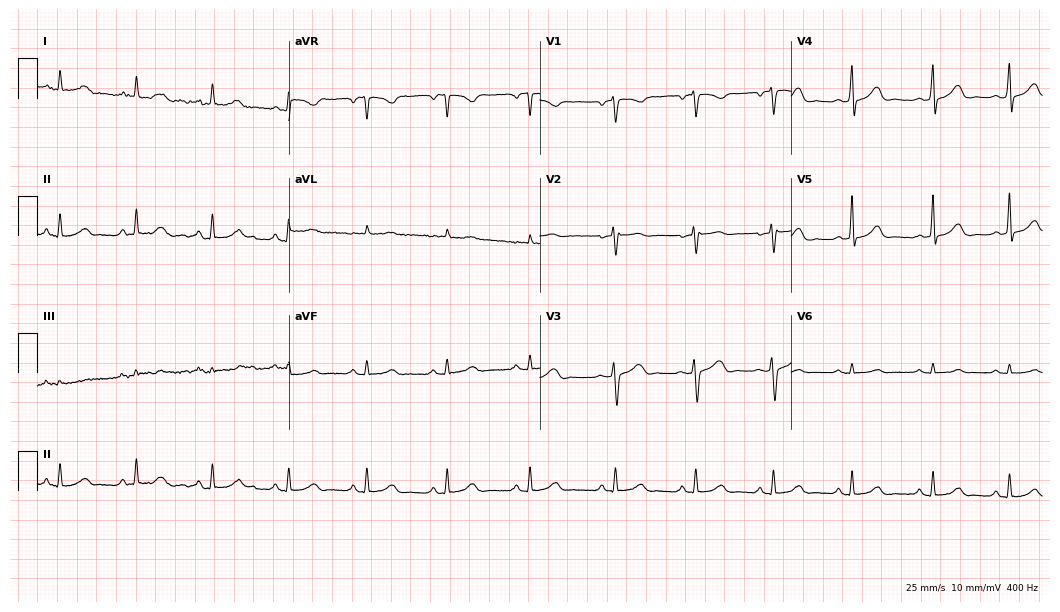
12-lead ECG from a female, 49 years old. No first-degree AV block, right bundle branch block (RBBB), left bundle branch block (LBBB), sinus bradycardia, atrial fibrillation (AF) or sinus tachycardia recorded for this tracing.